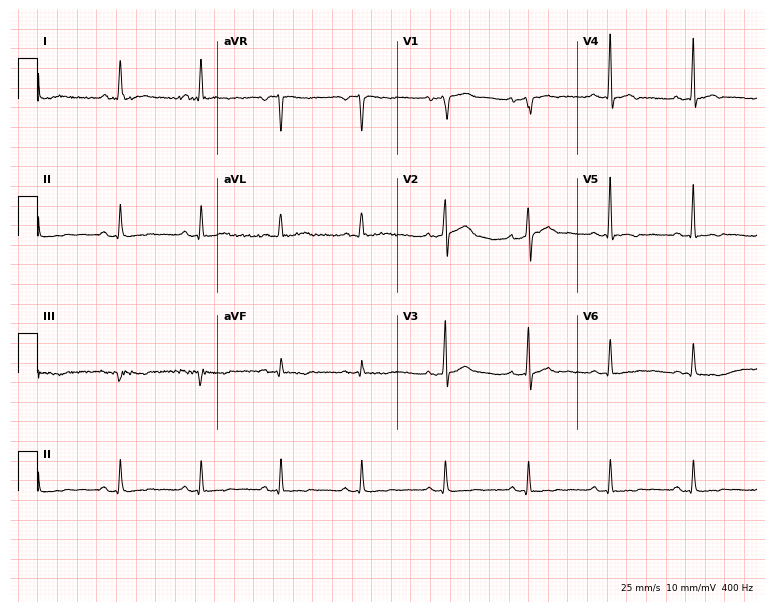
Standard 12-lead ECG recorded from a 61-year-old male patient (7.3-second recording at 400 Hz). Read as a normal ECG.